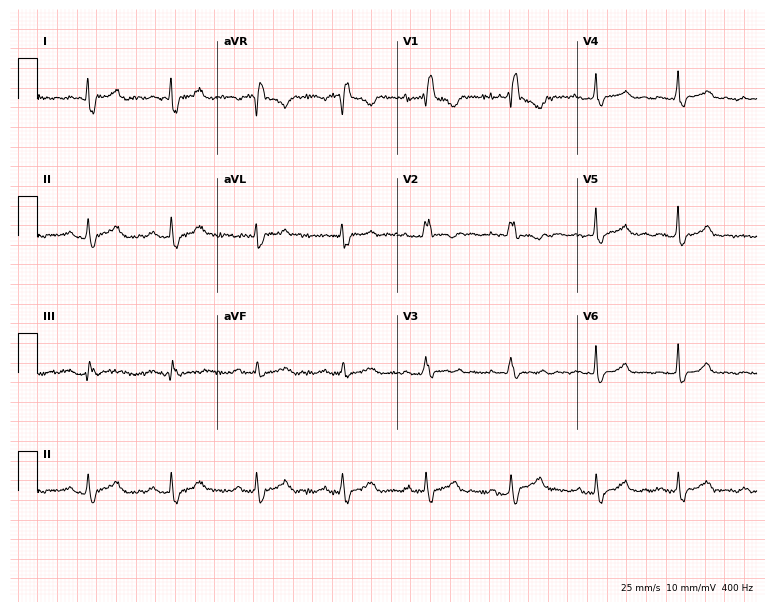
Standard 12-lead ECG recorded from a 38-year-old woman (7.3-second recording at 400 Hz). The tracing shows right bundle branch block.